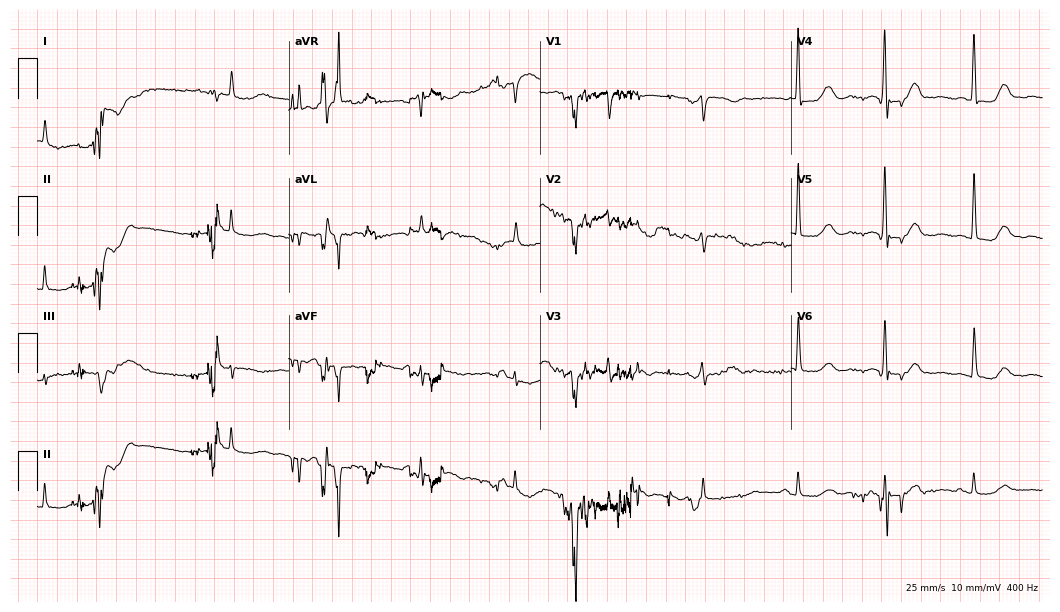
Electrocardiogram, a female, 79 years old. Overall reading on record: normal ECG.